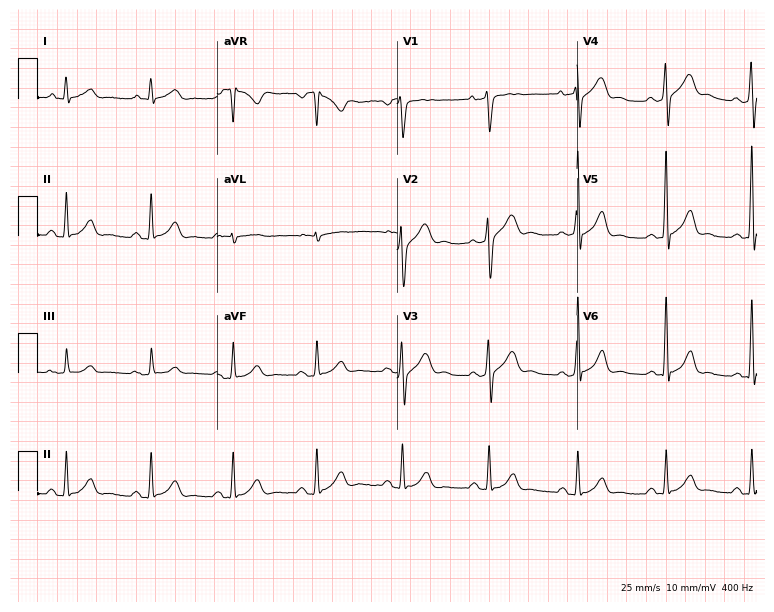
12-lead ECG from a male patient, 47 years old (7.3-second recording at 400 Hz). No first-degree AV block, right bundle branch block (RBBB), left bundle branch block (LBBB), sinus bradycardia, atrial fibrillation (AF) or sinus tachycardia recorded for this tracing. Only these six findings were labelled.